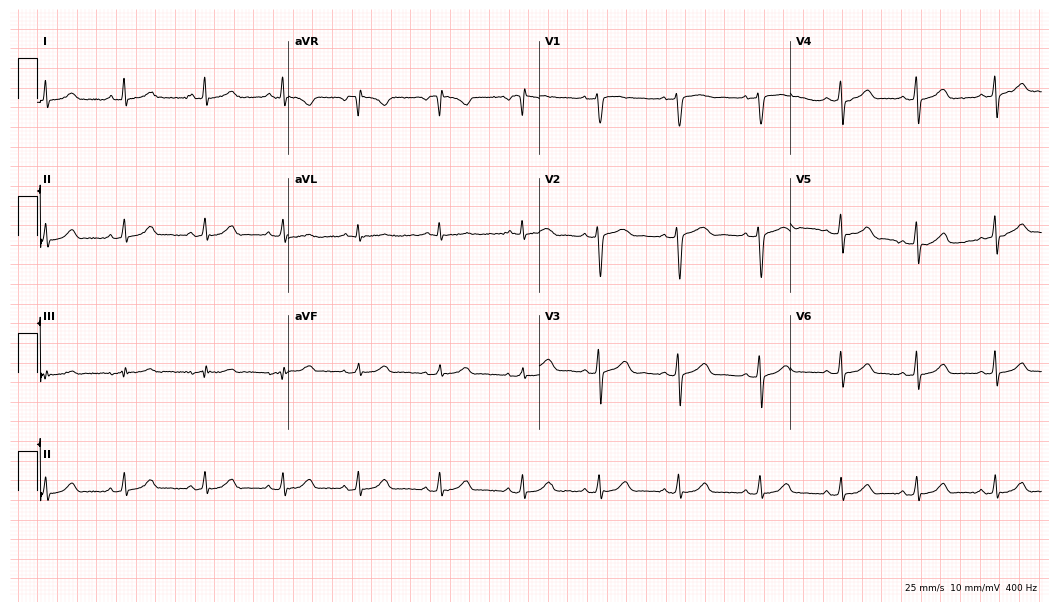
Electrocardiogram (10.2-second recording at 400 Hz), a woman, 35 years old. Of the six screened findings (first-degree AV block, right bundle branch block, left bundle branch block, sinus bradycardia, atrial fibrillation, sinus tachycardia), none is recorded. Findings outside these six are not listed.